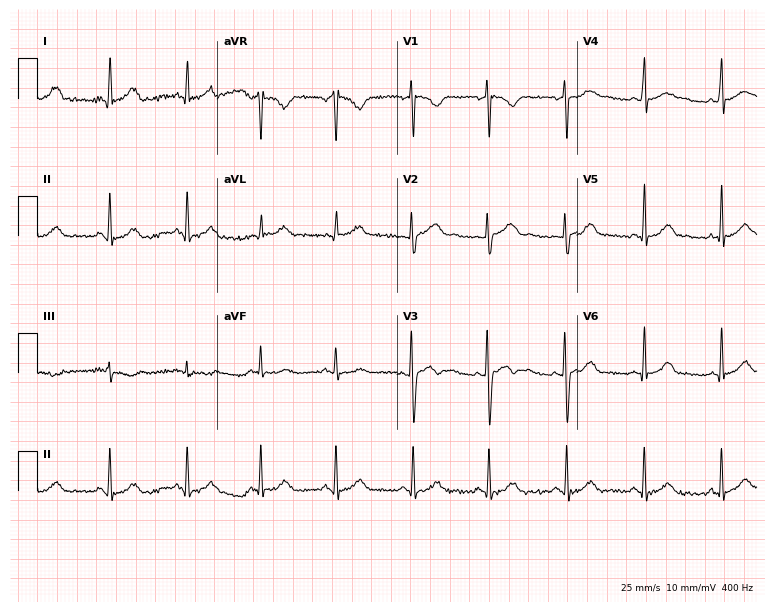
12-lead ECG from a 20-year-old female patient. Recorded interpretation: within normal limits.